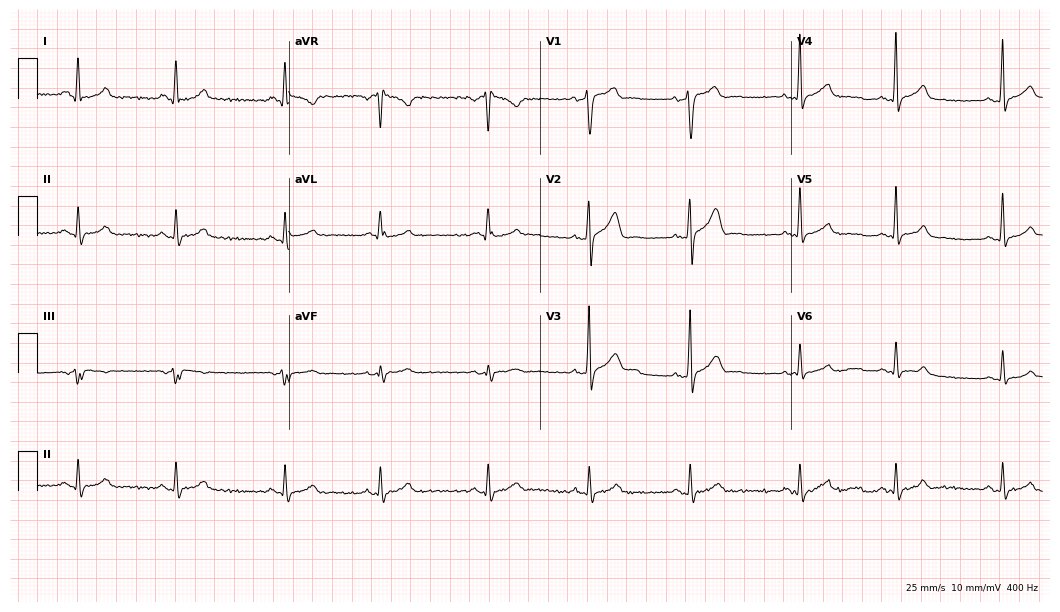
12-lead ECG (10.2-second recording at 400 Hz) from a 32-year-old man. Screened for six findings — first-degree AV block, right bundle branch block, left bundle branch block, sinus bradycardia, atrial fibrillation, sinus tachycardia — none is recorded. Findings outside these six are not listed.